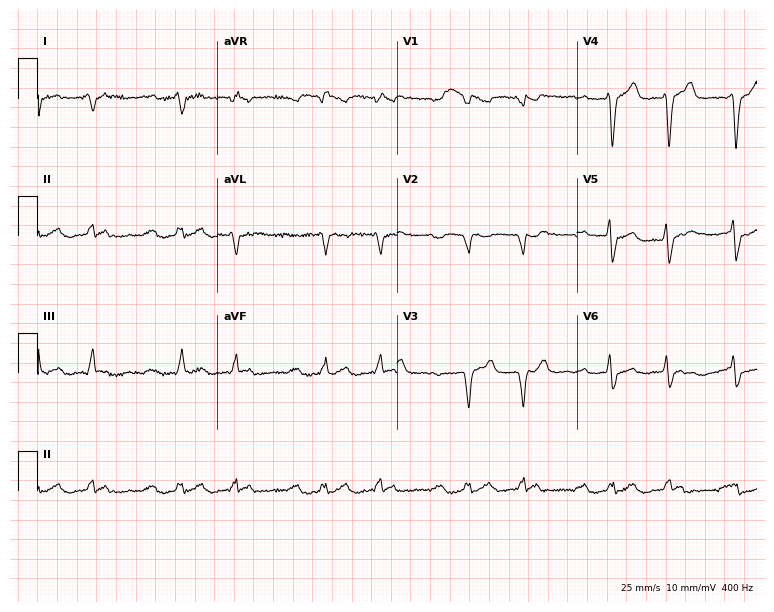
12-lead ECG from a female patient, 63 years old. Findings include first-degree AV block.